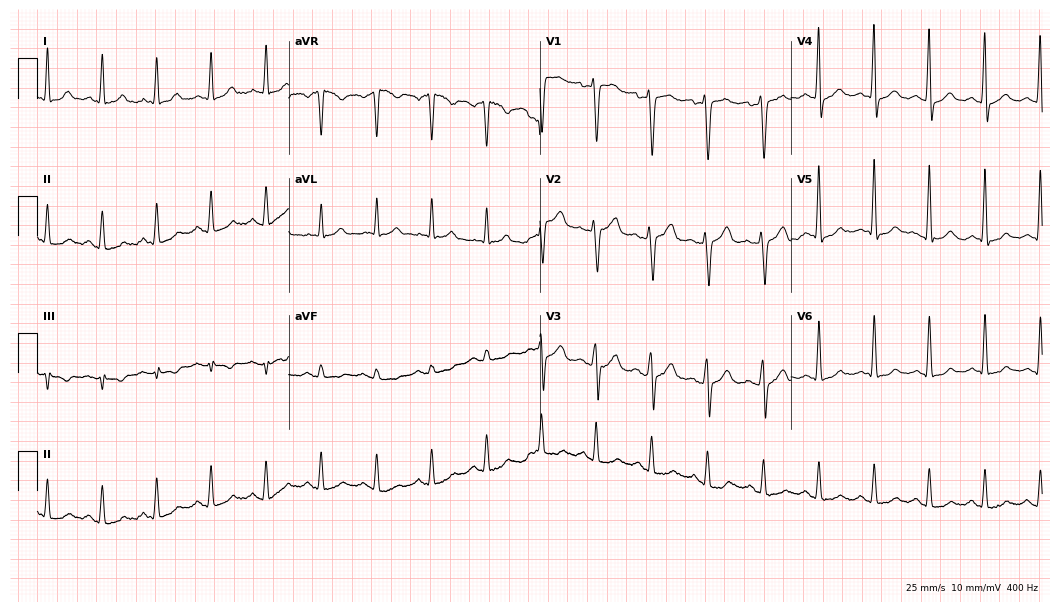
Resting 12-lead electrocardiogram (10.2-second recording at 400 Hz). Patient: a male, 48 years old. The tracing shows sinus tachycardia (a sinus rate of 100 beats per minute or more).